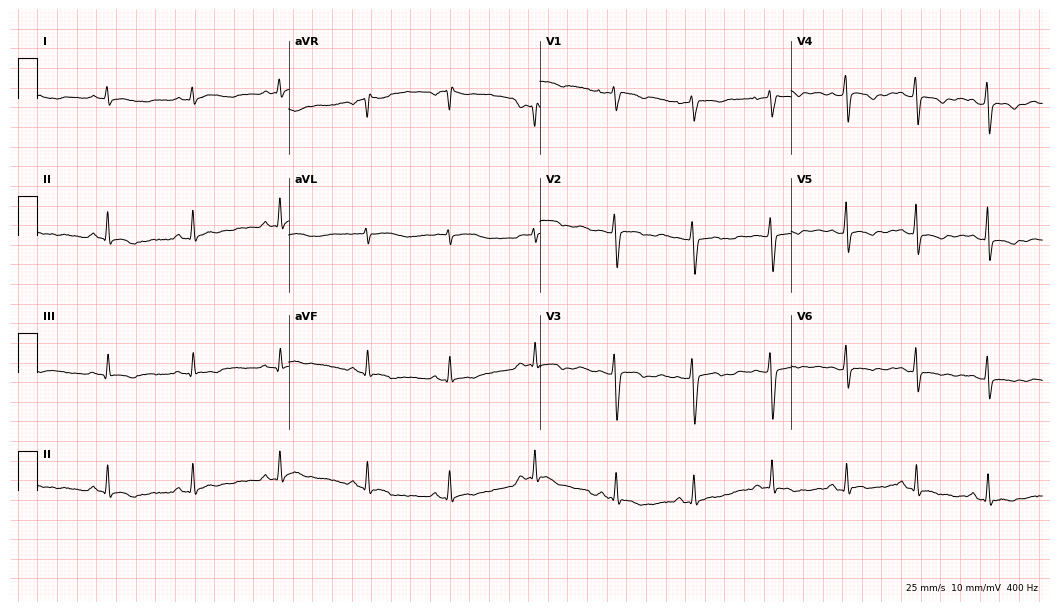
Electrocardiogram, a female, 37 years old. Of the six screened findings (first-degree AV block, right bundle branch block, left bundle branch block, sinus bradycardia, atrial fibrillation, sinus tachycardia), none is recorded.